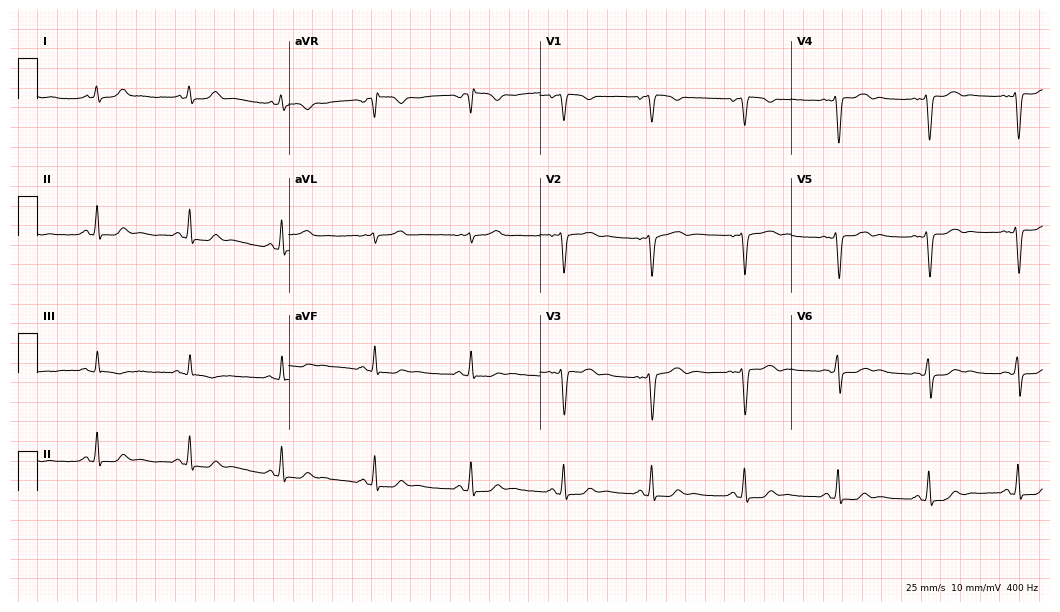
Standard 12-lead ECG recorded from a 43-year-old female. None of these six findings is recorded: first-degree AV block, right bundle branch block (RBBB), left bundle branch block (LBBB), sinus bradycardia, atrial fibrillation (AF), sinus tachycardia.